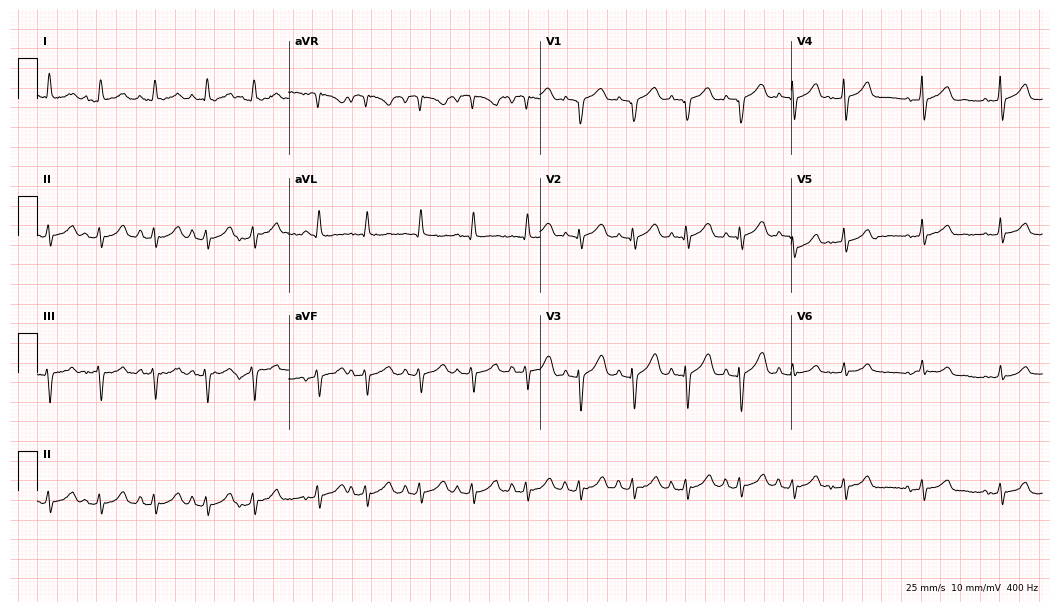
Electrocardiogram, a 71-year-old female. Of the six screened findings (first-degree AV block, right bundle branch block (RBBB), left bundle branch block (LBBB), sinus bradycardia, atrial fibrillation (AF), sinus tachycardia), none is recorded.